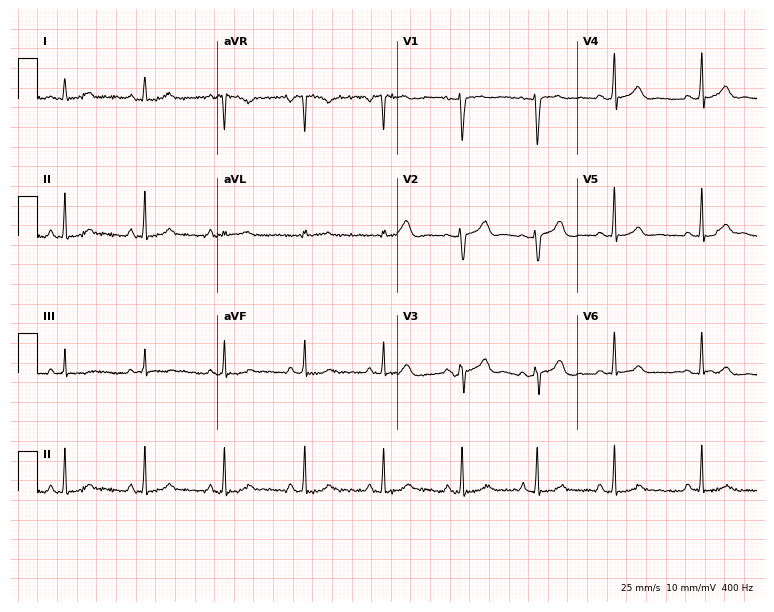
Electrocardiogram (7.3-second recording at 400 Hz), a 32-year-old woman. Of the six screened findings (first-degree AV block, right bundle branch block, left bundle branch block, sinus bradycardia, atrial fibrillation, sinus tachycardia), none is recorded.